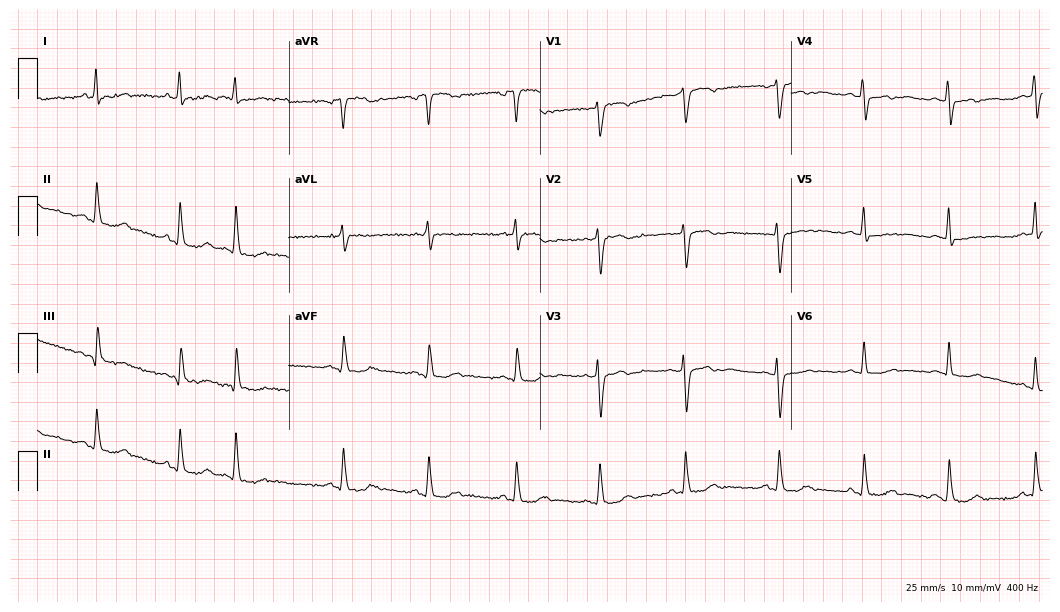
12-lead ECG from a 55-year-old woman. Screened for six findings — first-degree AV block, right bundle branch block, left bundle branch block, sinus bradycardia, atrial fibrillation, sinus tachycardia — none is recorded.